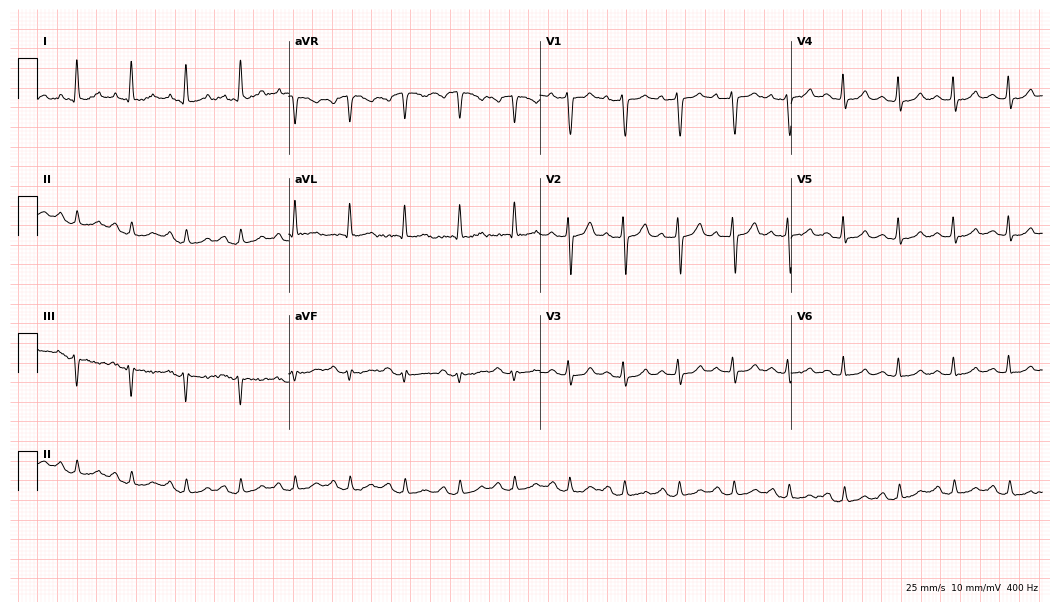
Electrocardiogram (10.2-second recording at 400 Hz), a man, 76 years old. Interpretation includes sinus tachycardia (a sinus rate of 100 beats per minute or more).